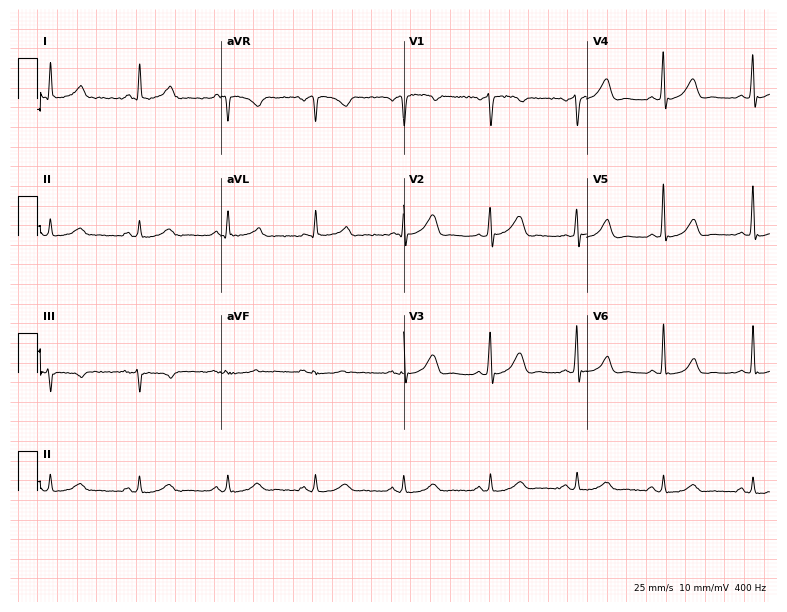
12-lead ECG from a man, 57 years old (7.5-second recording at 400 Hz). Recorded interpretation: within normal limits.